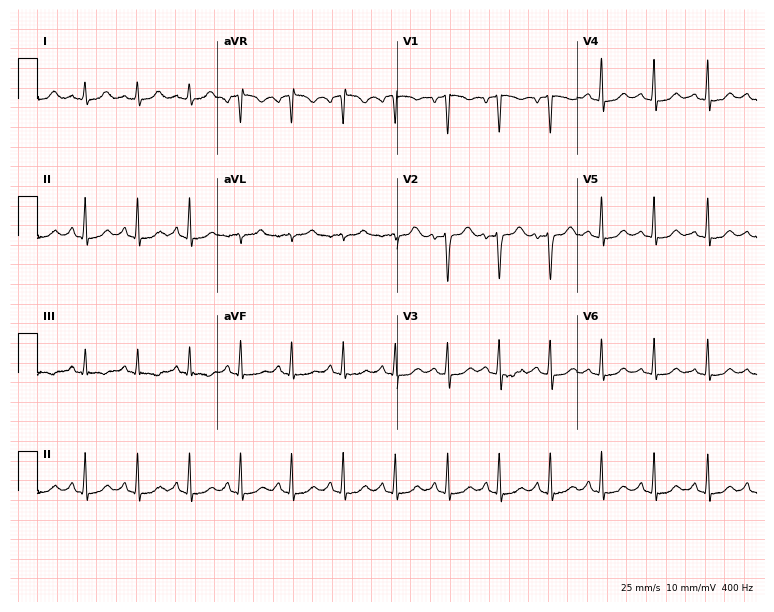
12-lead ECG from a 26-year-old female. Findings include sinus tachycardia (a sinus rate of 100 beats per minute or more).